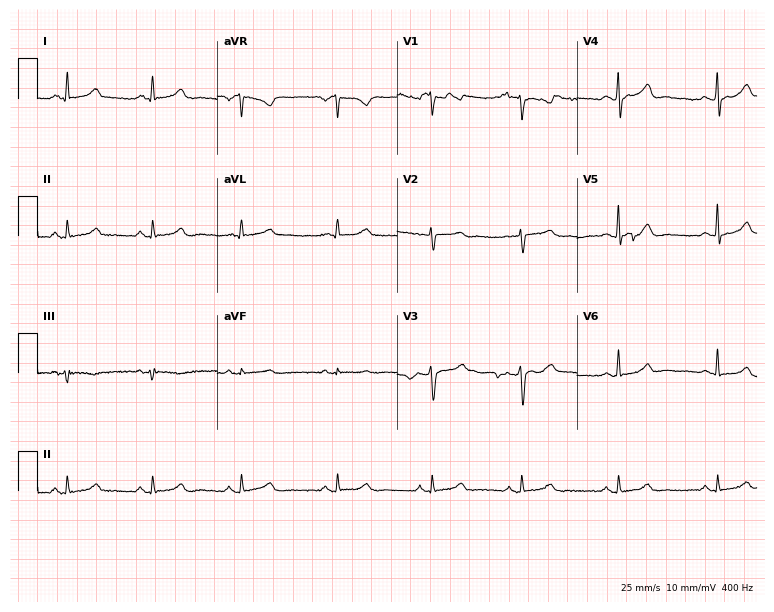
12-lead ECG from a woman, 43 years old. Labelled as a normal ECG.